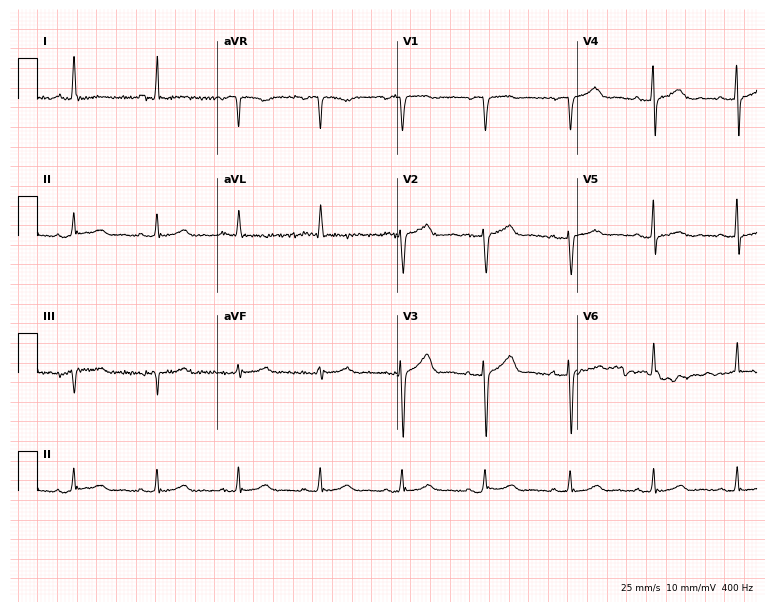
Standard 12-lead ECG recorded from a woman, 54 years old. Read as a normal ECG.